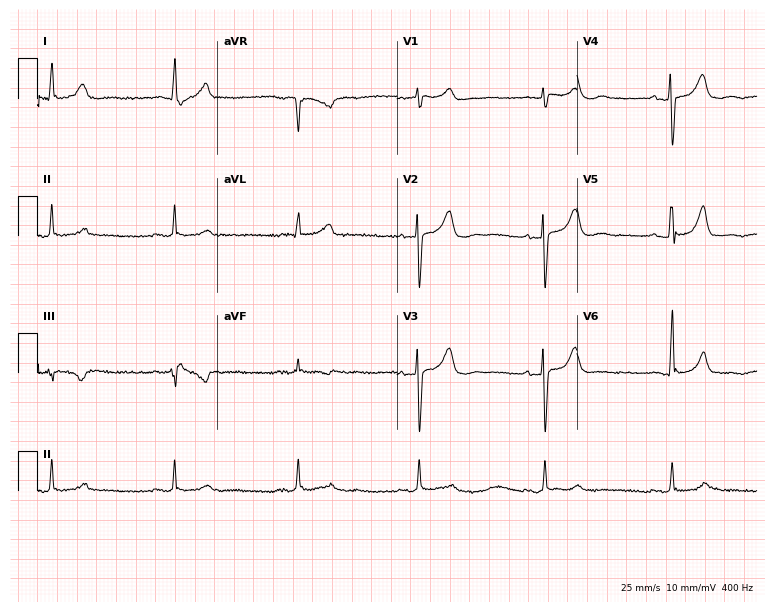
Electrocardiogram, a 60-year-old woman. Of the six screened findings (first-degree AV block, right bundle branch block (RBBB), left bundle branch block (LBBB), sinus bradycardia, atrial fibrillation (AF), sinus tachycardia), none is recorded.